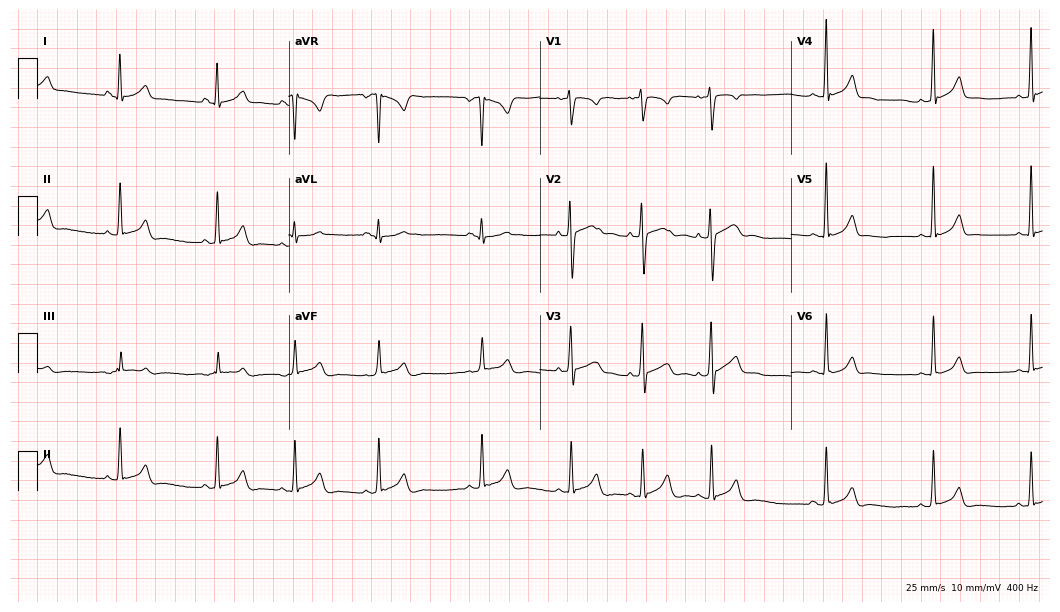
12-lead ECG from a 19-year-old female (10.2-second recording at 400 Hz). Recorded interpretation: within normal limits.